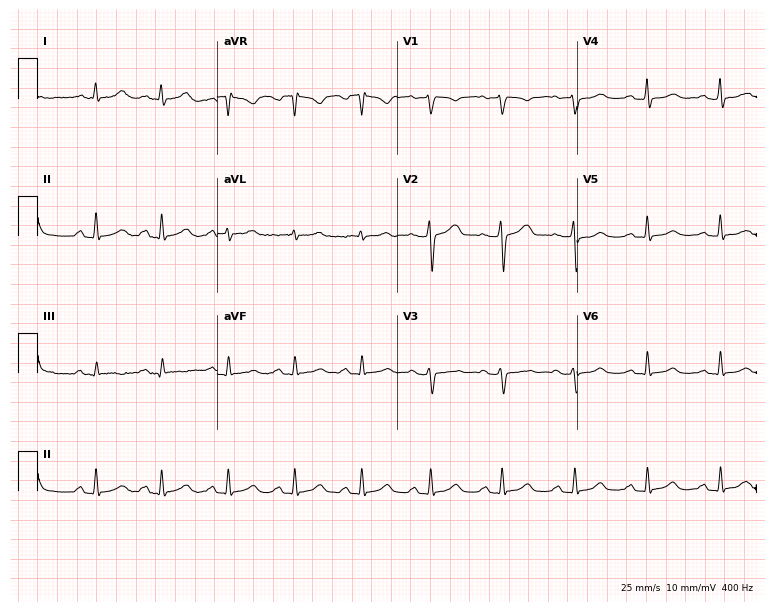
Standard 12-lead ECG recorded from a female patient, 56 years old (7.3-second recording at 400 Hz). None of these six findings is recorded: first-degree AV block, right bundle branch block, left bundle branch block, sinus bradycardia, atrial fibrillation, sinus tachycardia. Findings outside these six are not listed.